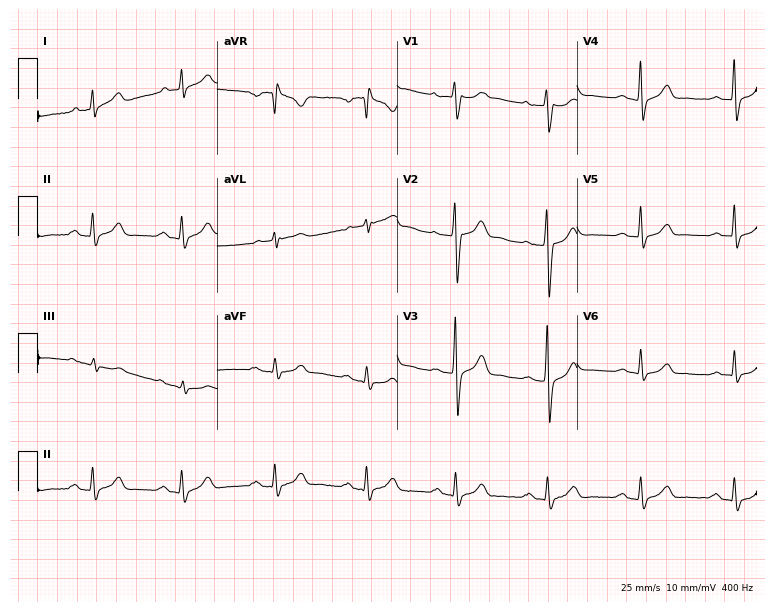
Electrocardiogram (7.3-second recording at 400 Hz), a 44-year-old male patient. Of the six screened findings (first-degree AV block, right bundle branch block, left bundle branch block, sinus bradycardia, atrial fibrillation, sinus tachycardia), none is recorded. Other findings, if any, are not listed.